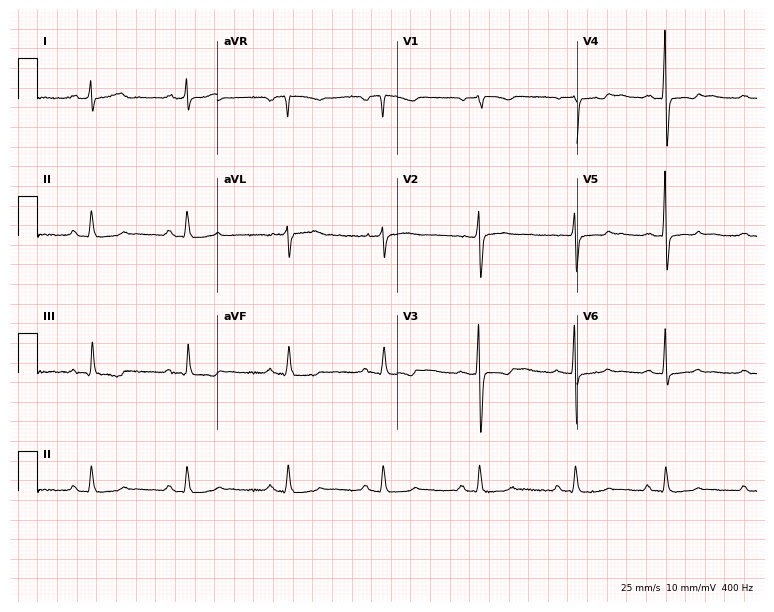
Electrocardiogram (7.3-second recording at 400 Hz), a 64-year-old man. Of the six screened findings (first-degree AV block, right bundle branch block, left bundle branch block, sinus bradycardia, atrial fibrillation, sinus tachycardia), none is recorded. Other findings, if any, are not listed.